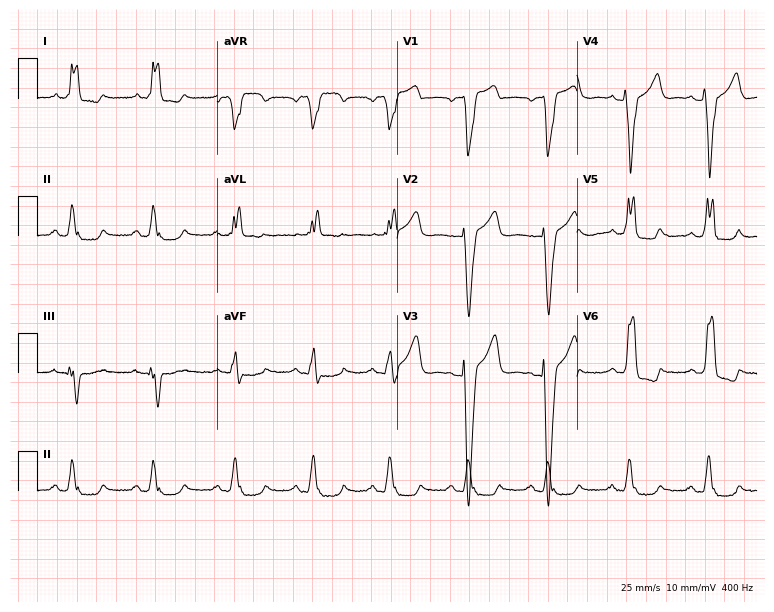
Resting 12-lead electrocardiogram. Patient: a woman, 78 years old. The tracing shows left bundle branch block (LBBB).